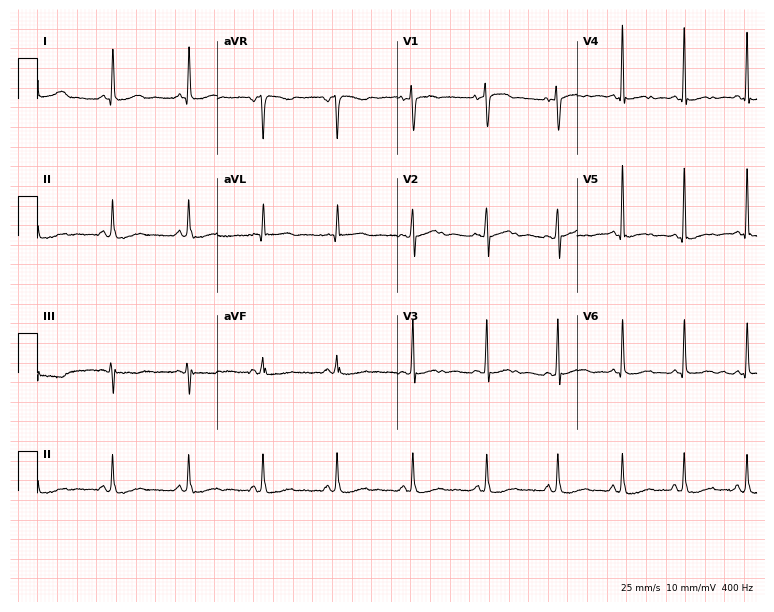
Electrocardiogram, a woman, 46 years old. Of the six screened findings (first-degree AV block, right bundle branch block (RBBB), left bundle branch block (LBBB), sinus bradycardia, atrial fibrillation (AF), sinus tachycardia), none is recorded. Findings outside these six are not listed.